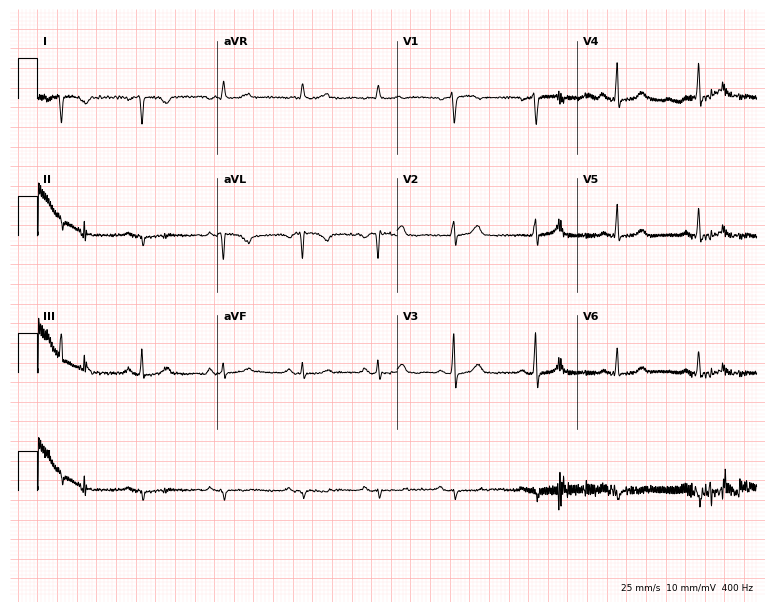
12-lead ECG from a female, 67 years old (7.3-second recording at 400 Hz). No first-degree AV block, right bundle branch block (RBBB), left bundle branch block (LBBB), sinus bradycardia, atrial fibrillation (AF) or sinus tachycardia recorded for this tracing. Only these six findings were labelled.